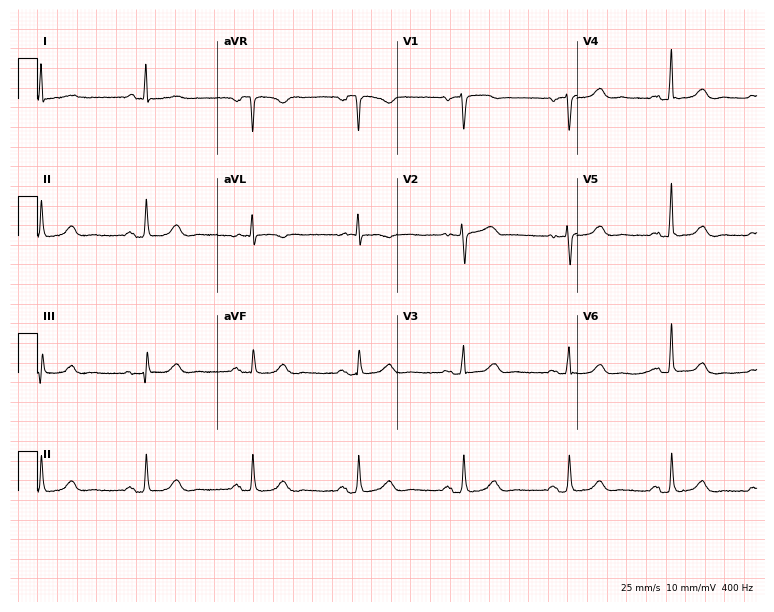
Electrocardiogram, a woman, 81 years old. Overall reading on record: normal ECG.